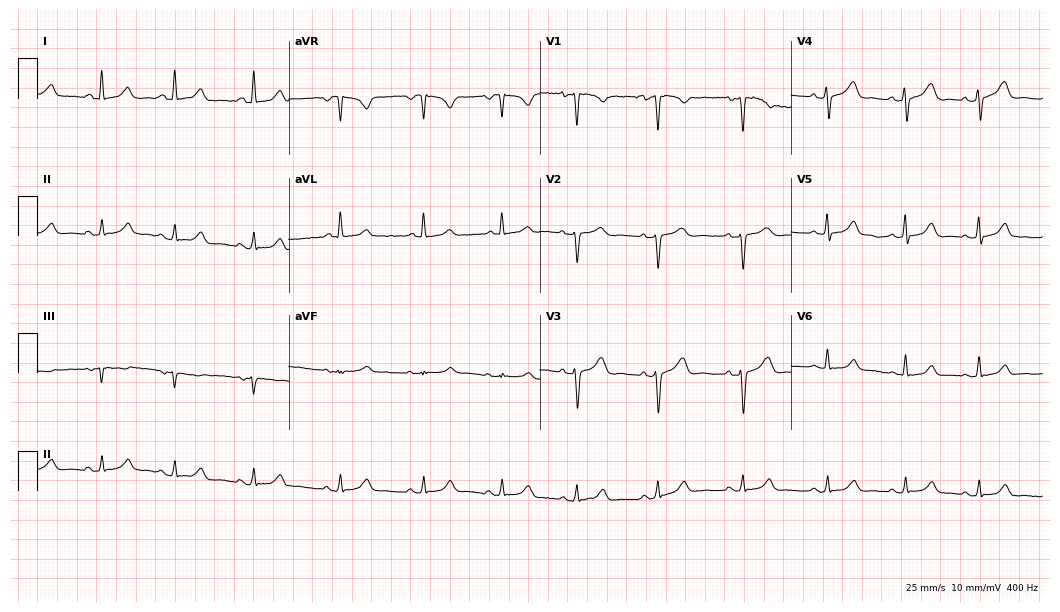
Resting 12-lead electrocardiogram. Patient: a woman, 34 years old. Read as a normal ECG.